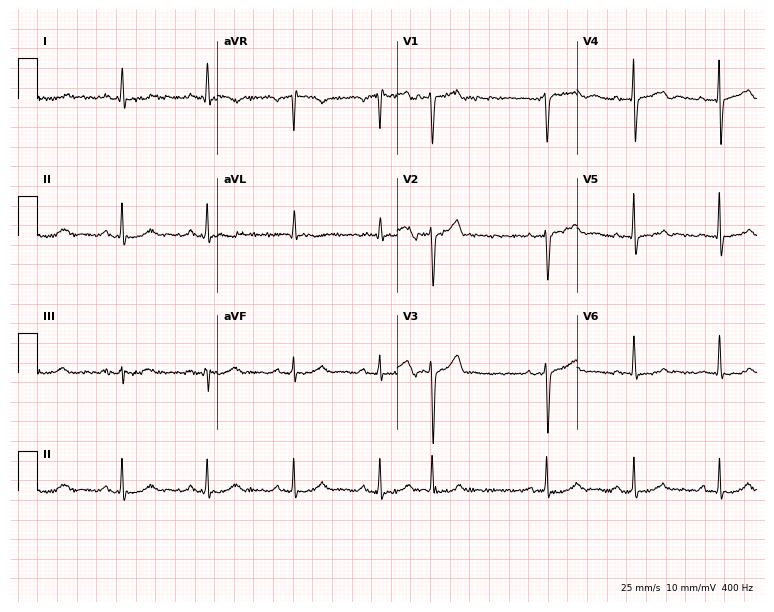
Resting 12-lead electrocardiogram (7.3-second recording at 400 Hz). Patient: a woman, 67 years old. Read as a normal ECG.